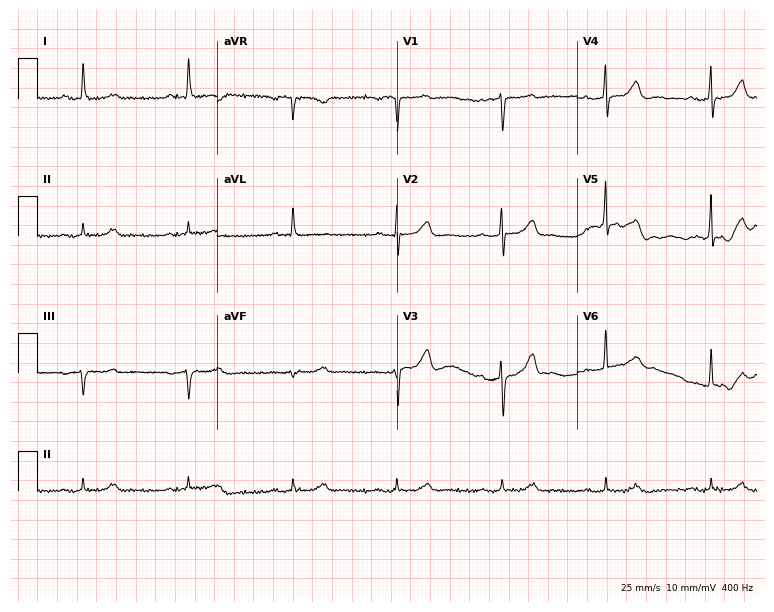
Standard 12-lead ECG recorded from a female patient, 78 years old. None of these six findings is recorded: first-degree AV block, right bundle branch block, left bundle branch block, sinus bradycardia, atrial fibrillation, sinus tachycardia.